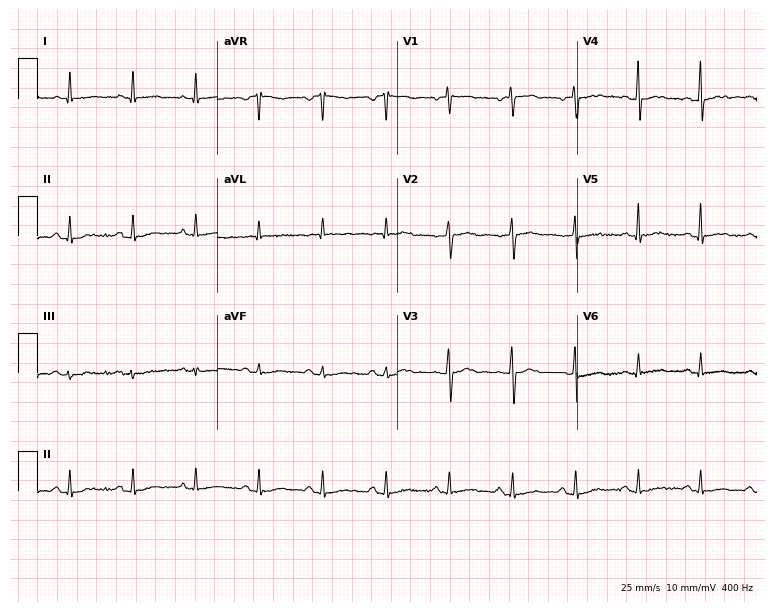
Standard 12-lead ECG recorded from a male, 62 years old (7.3-second recording at 400 Hz). None of these six findings is recorded: first-degree AV block, right bundle branch block, left bundle branch block, sinus bradycardia, atrial fibrillation, sinus tachycardia.